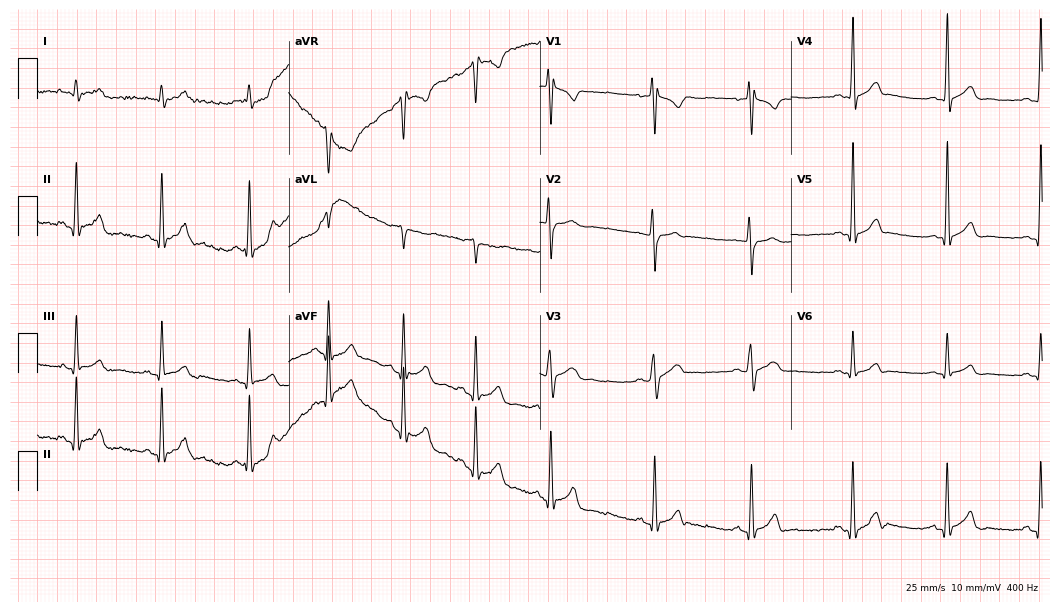
ECG (10.2-second recording at 400 Hz) — a male patient, 22 years old. Labelled as a normal ECG.